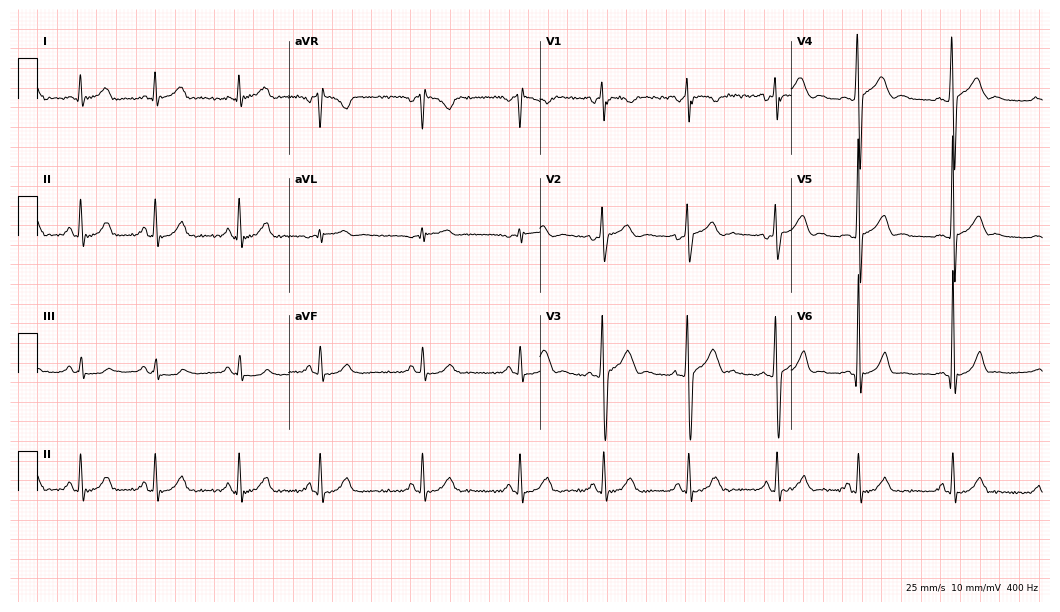
12-lead ECG from a man, 26 years old. Labelled as a normal ECG.